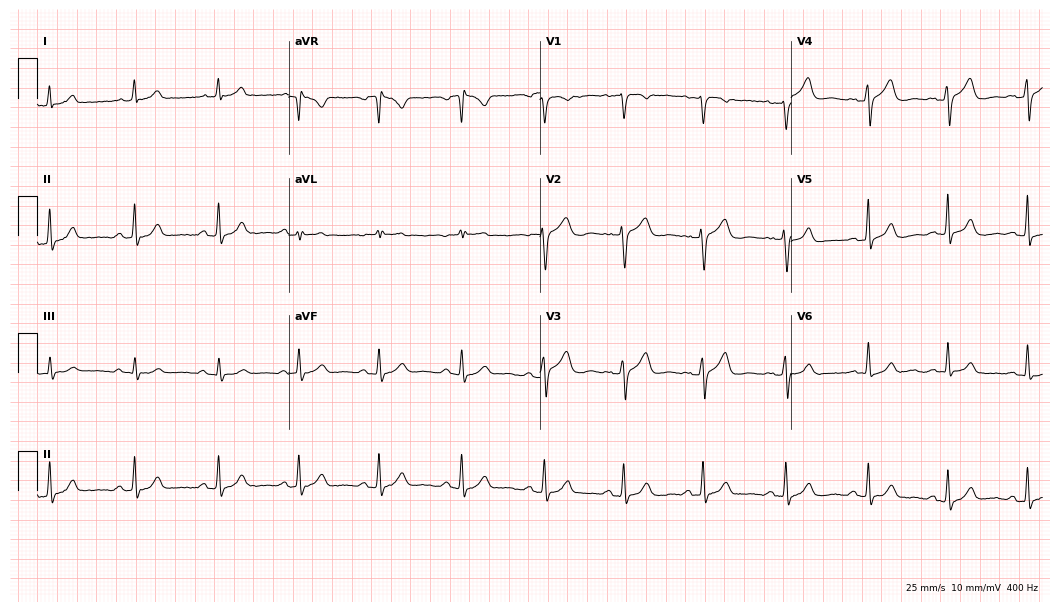
Resting 12-lead electrocardiogram (10.2-second recording at 400 Hz). Patient: a female, 34 years old. Read as a normal ECG.